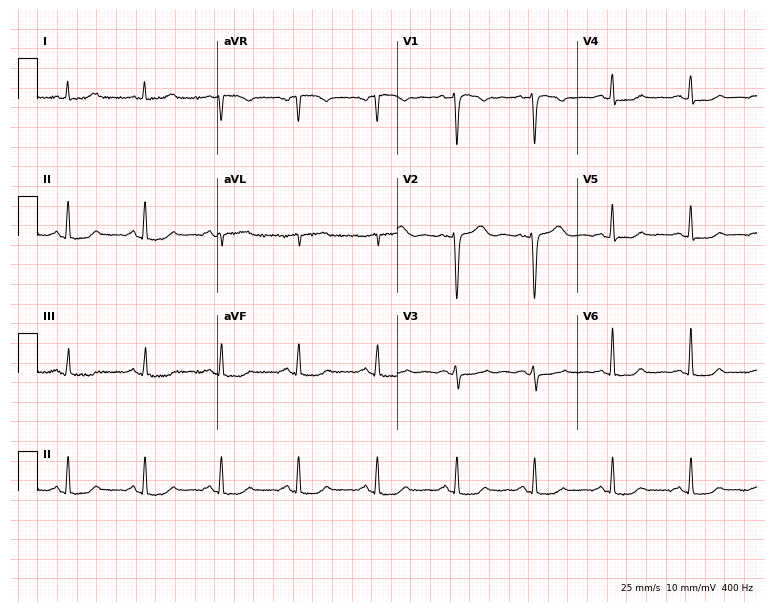
Resting 12-lead electrocardiogram. Patient: a 70-year-old woman. Read as a normal ECG.